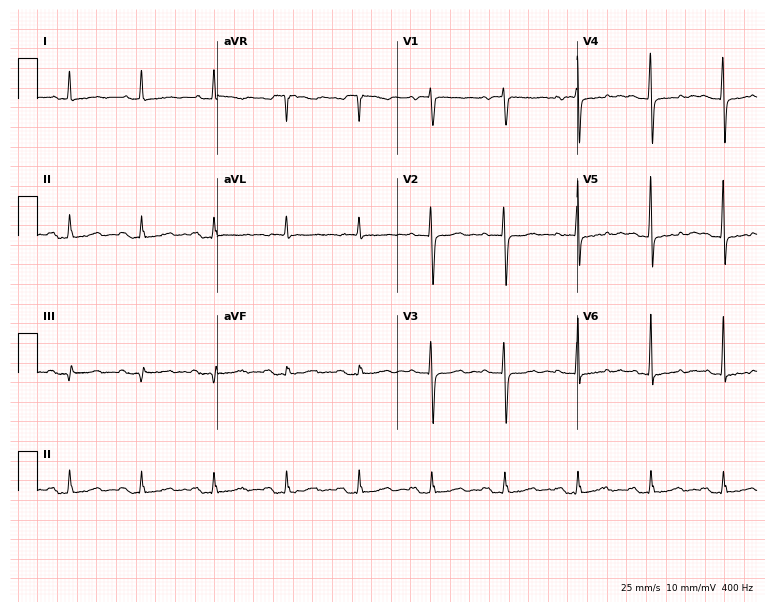
Resting 12-lead electrocardiogram. Patient: a man, 80 years old. None of these six findings is recorded: first-degree AV block, right bundle branch block, left bundle branch block, sinus bradycardia, atrial fibrillation, sinus tachycardia. Only these six findings were labelled.